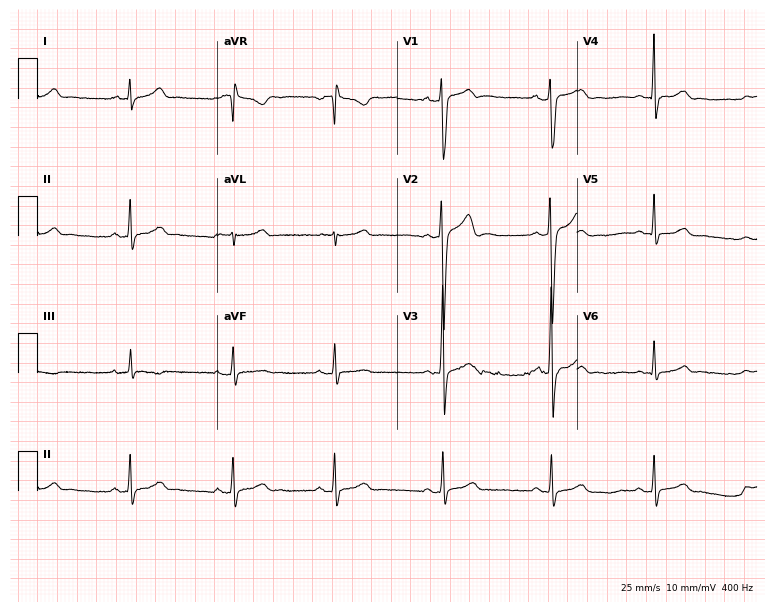
12-lead ECG (7.3-second recording at 400 Hz) from a male, 22 years old. Labelled as a normal ECG.